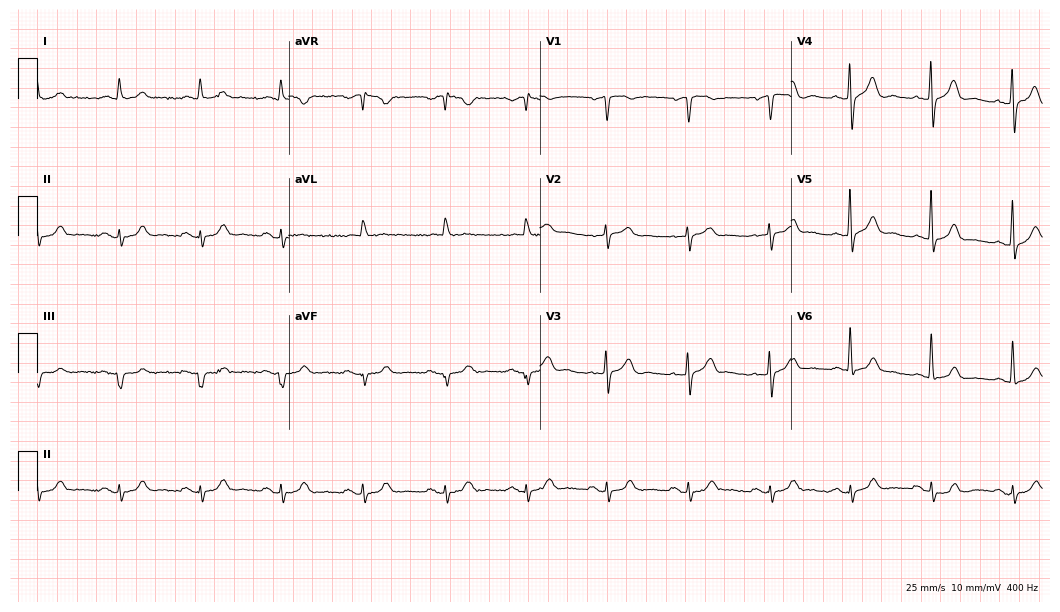
12-lead ECG from a male, 80 years old. No first-degree AV block, right bundle branch block, left bundle branch block, sinus bradycardia, atrial fibrillation or sinus tachycardia recorded for this tracing. Only these six findings were labelled.